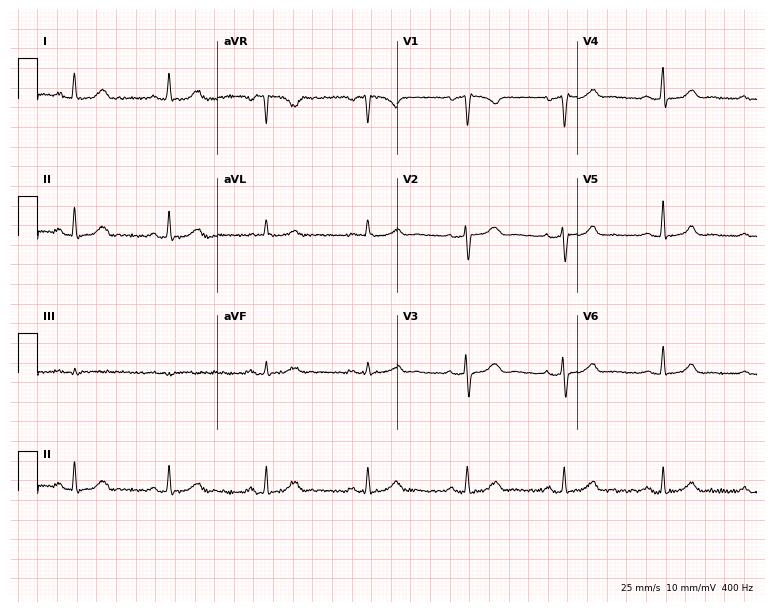
12-lead ECG from a 58-year-old woman. Recorded interpretation: within normal limits.